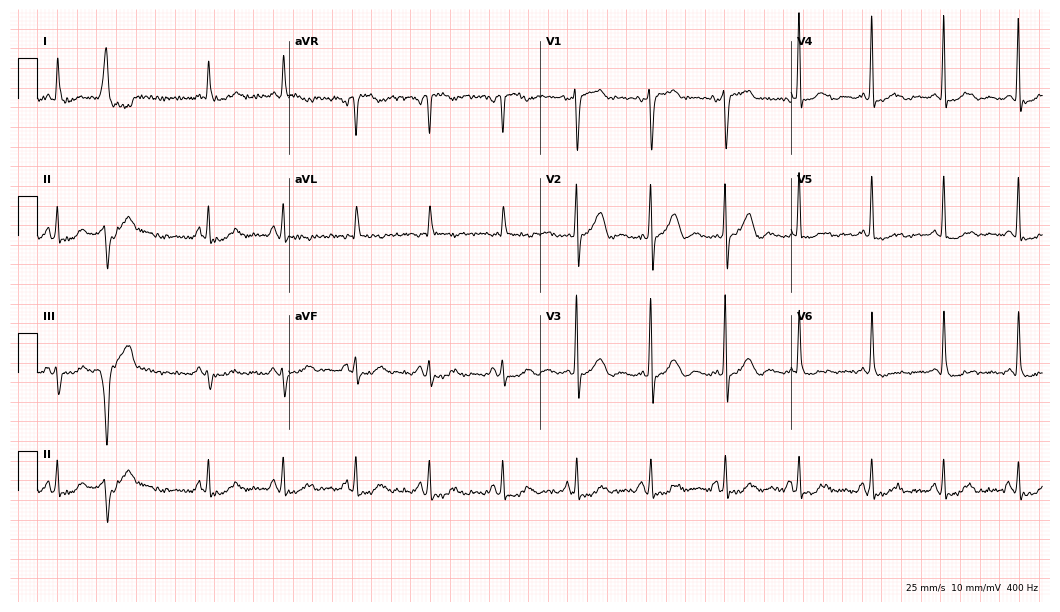
Electrocardiogram, a 79-year-old male. Overall reading on record: normal ECG.